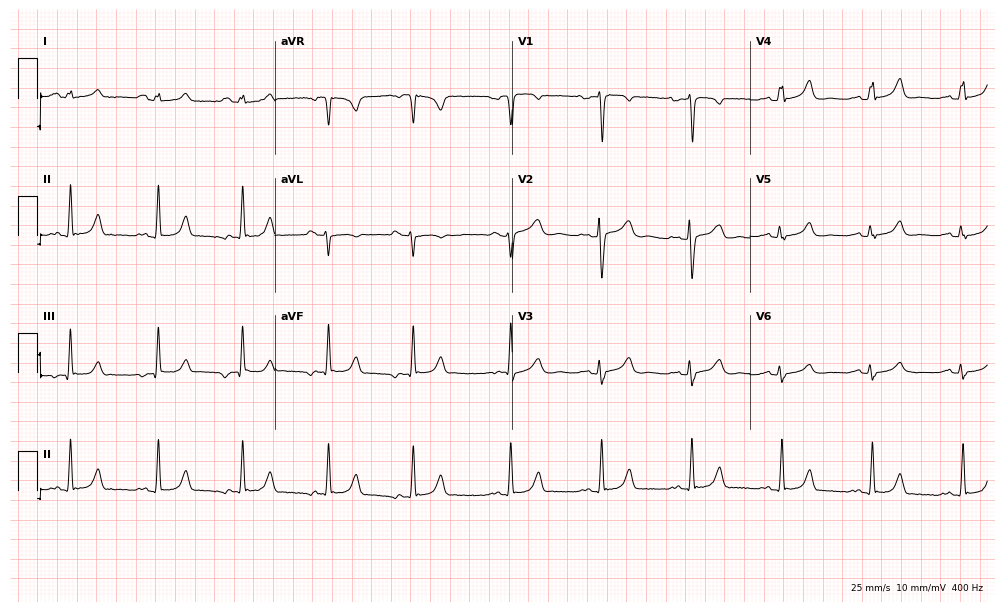
Resting 12-lead electrocardiogram. Patient: a woman, 29 years old. None of these six findings is recorded: first-degree AV block, right bundle branch block, left bundle branch block, sinus bradycardia, atrial fibrillation, sinus tachycardia.